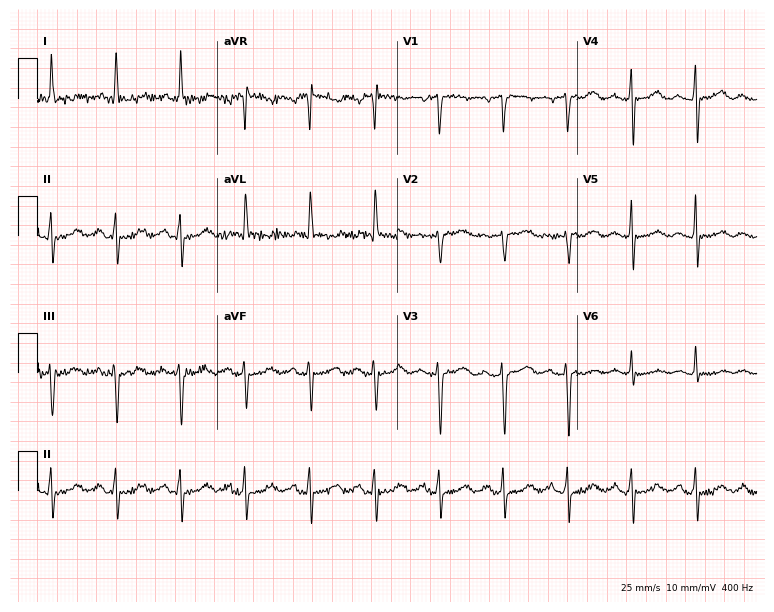
12-lead ECG from a 70-year-old female patient. No first-degree AV block, right bundle branch block, left bundle branch block, sinus bradycardia, atrial fibrillation or sinus tachycardia recorded for this tracing.